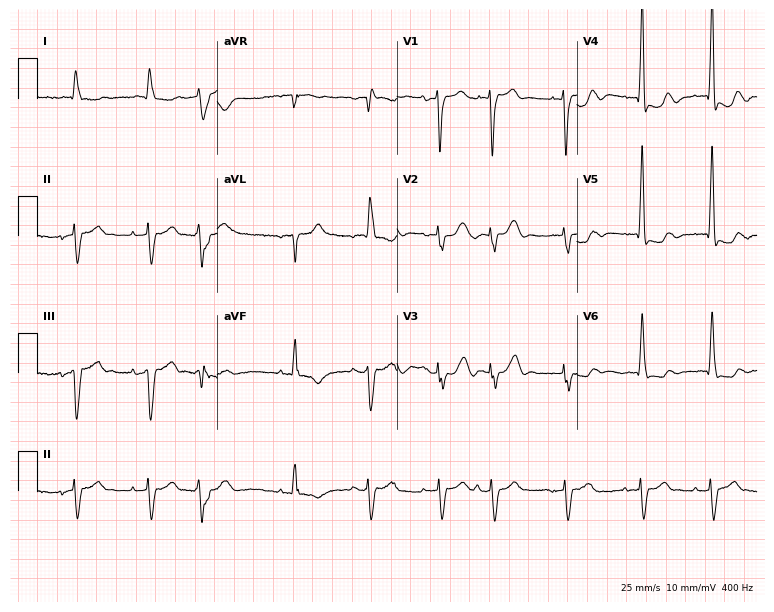
Resting 12-lead electrocardiogram. Patient: a male, 80 years old. None of these six findings is recorded: first-degree AV block, right bundle branch block (RBBB), left bundle branch block (LBBB), sinus bradycardia, atrial fibrillation (AF), sinus tachycardia.